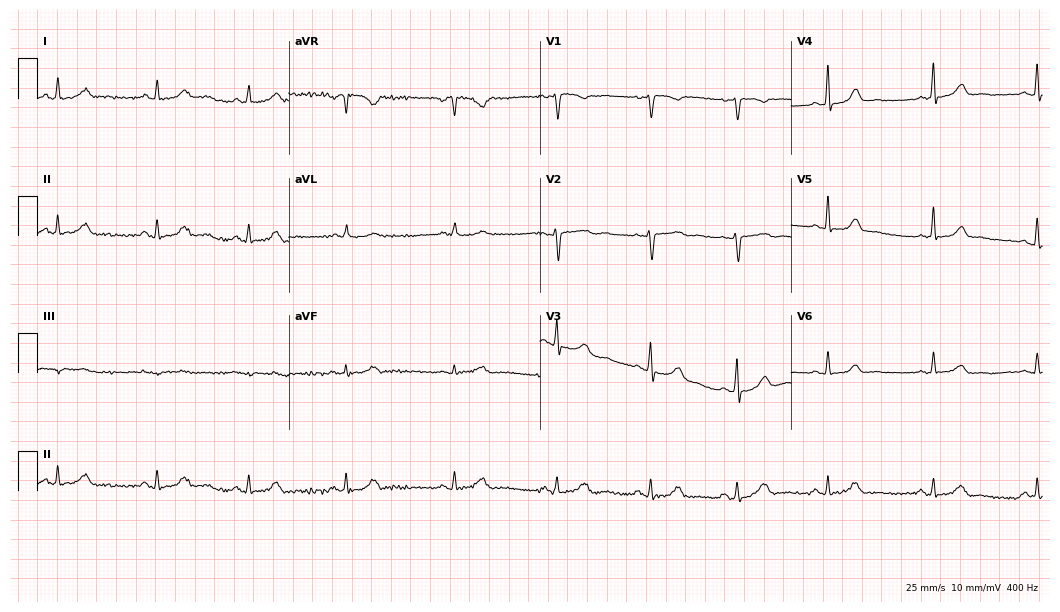
Resting 12-lead electrocardiogram (10.2-second recording at 400 Hz). Patient: a female, 35 years old. Read as a normal ECG.